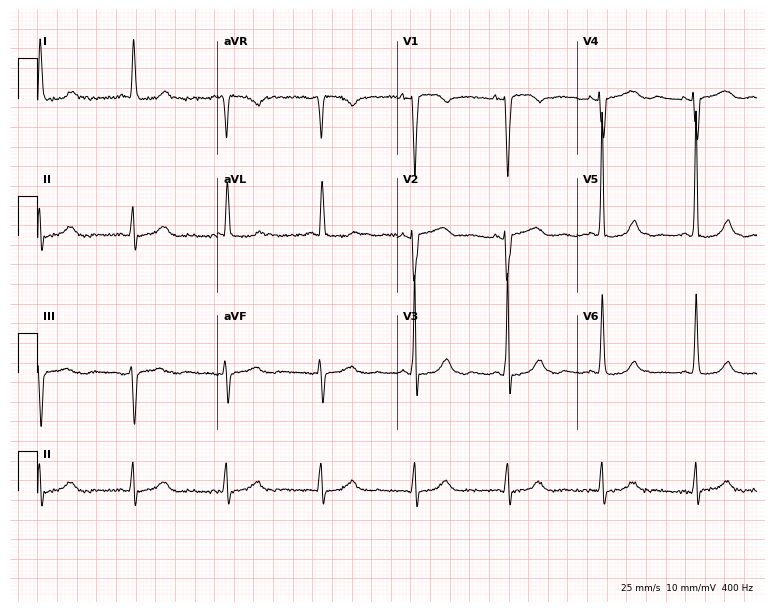
Standard 12-lead ECG recorded from an 83-year-old female (7.3-second recording at 400 Hz). Read as a normal ECG.